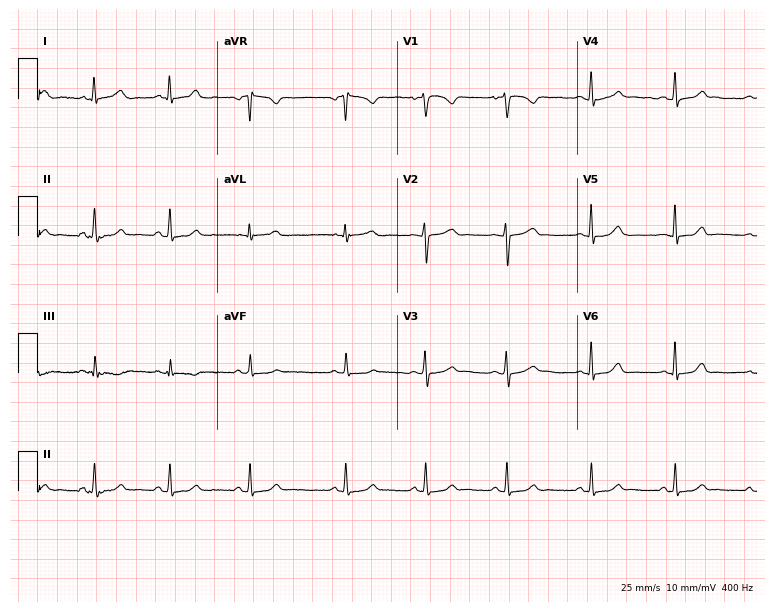
Electrocardiogram (7.3-second recording at 400 Hz), a female patient, 29 years old. Overall reading on record: normal ECG.